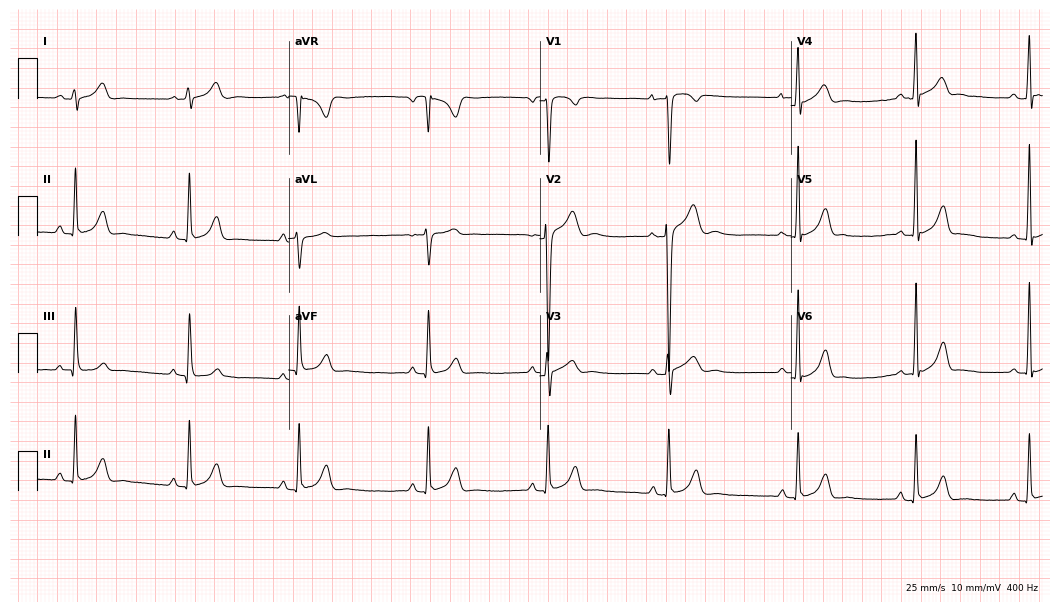
ECG (10.2-second recording at 400 Hz) — an 18-year-old man. Labelled as a normal ECG.